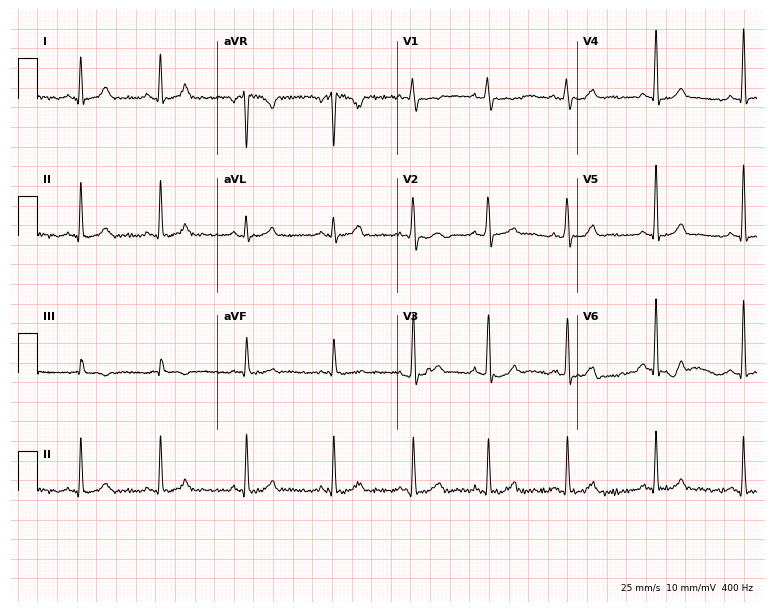
ECG — a female patient, 29 years old. Labelled as a normal ECG.